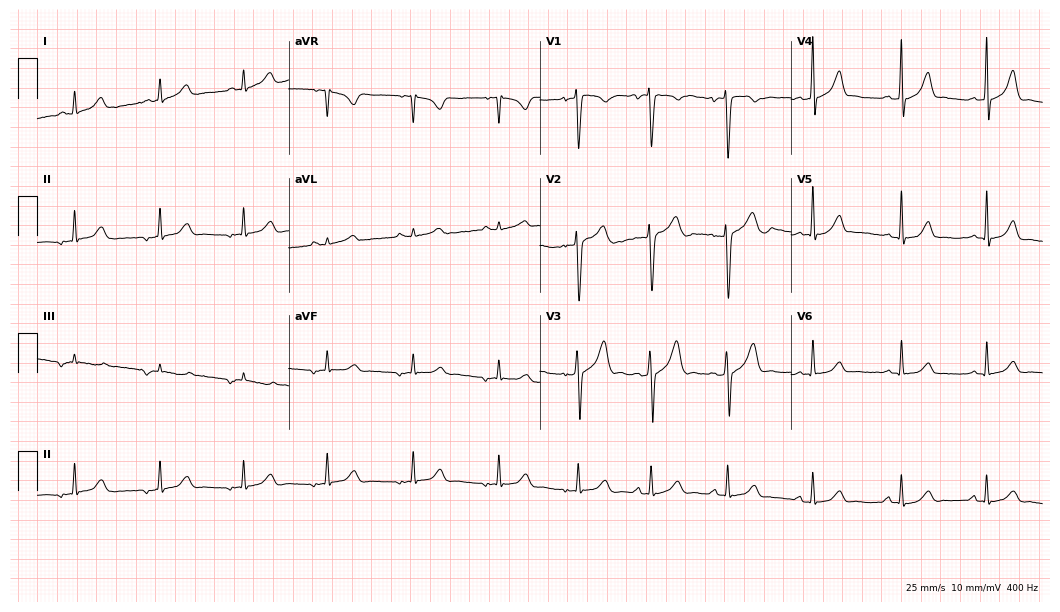
12-lead ECG from a woman, 24 years old. Labelled as a normal ECG.